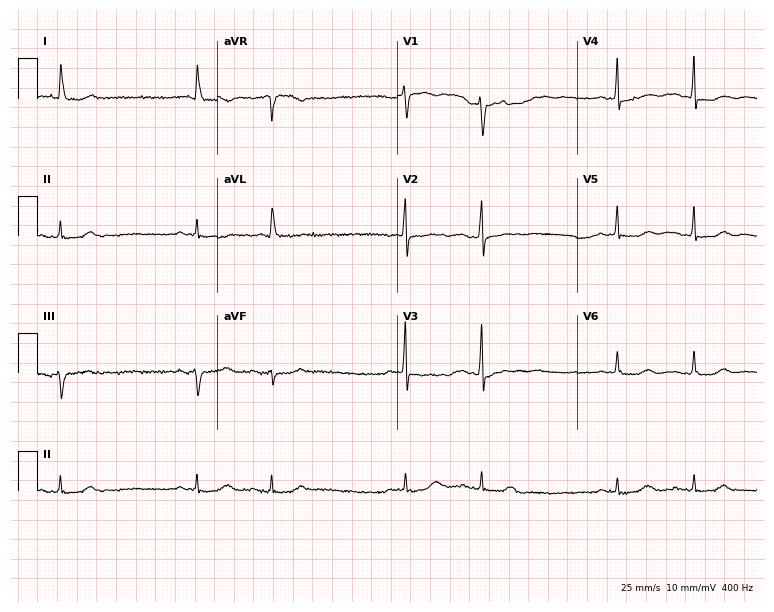
12-lead ECG from a woman, 80 years old (7.3-second recording at 400 Hz). No first-degree AV block, right bundle branch block (RBBB), left bundle branch block (LBBB), sinus bradycardia, atrial fibrillation (AF) or sinus tachycardia recorded for this tracing. Other findings, if any, are not listed.